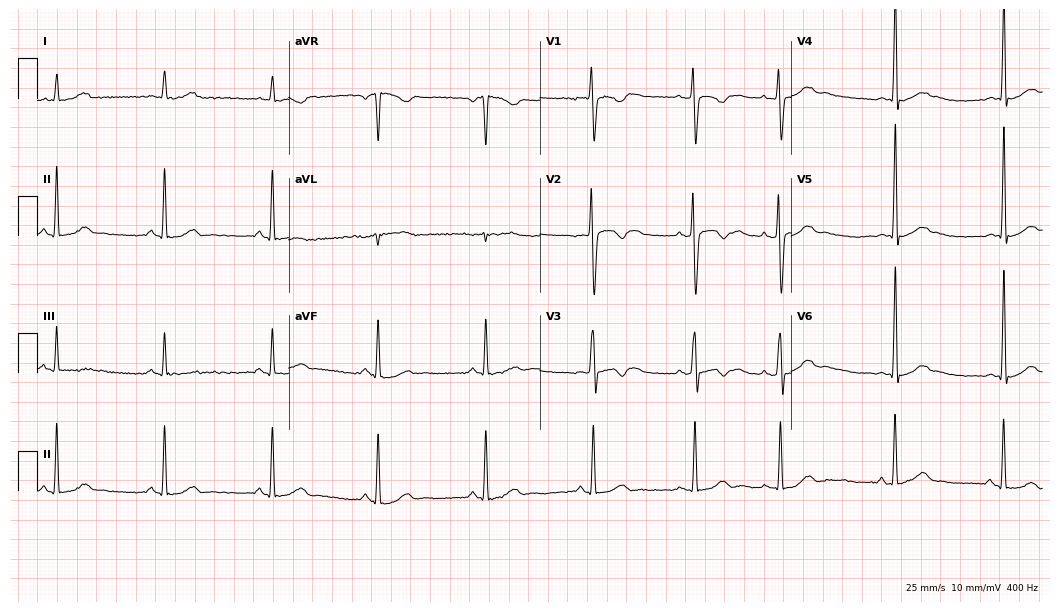
12-lead ECG from a woman, 22 years old. No first-degree AV block, right bundle branch block, left bundle branch block, sinus bradycardia, atrial fibrillation or sinus tachycardia recorded for this tracing.